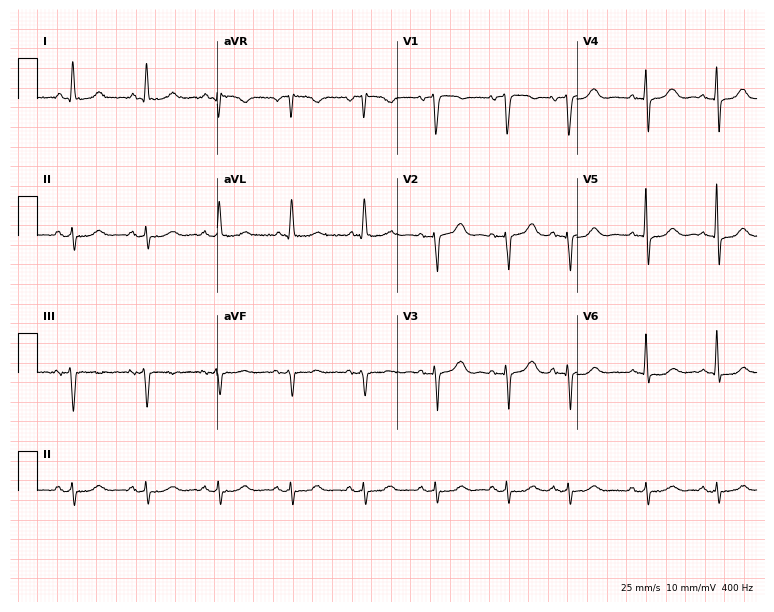
Standard 12-lead ECG recorded from a 72-year-old woman. None of these six findings is recorded: first-degree AV block, right bundle branch block (RBBB), left bundle branch block (LBBB), sinus bradycardia, atrial fibrillation (AF), sinus tachycardia. Other findings, if any, are not listed.